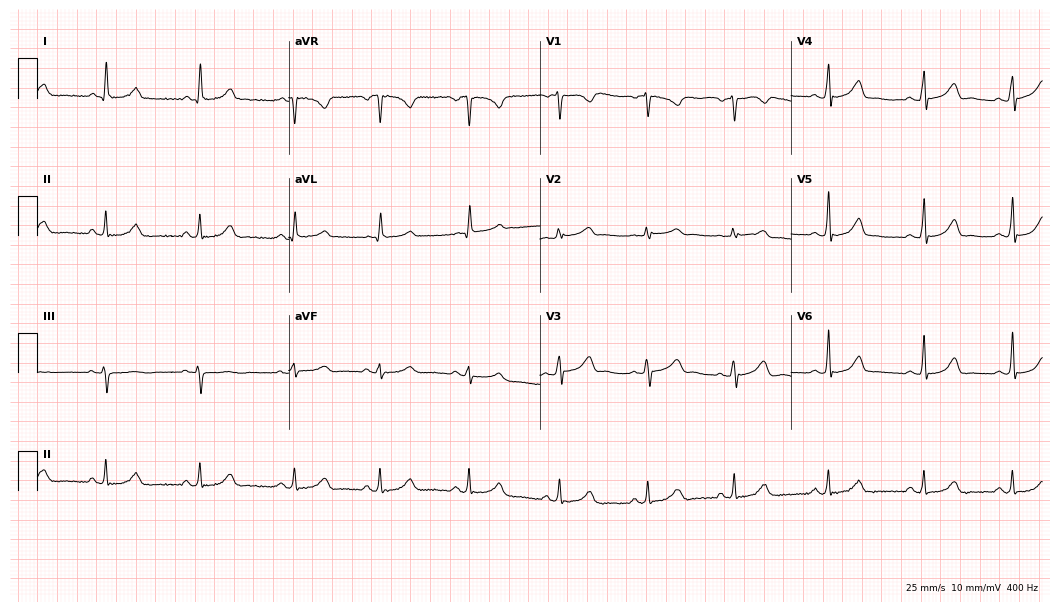
12-lead ECG from a woman, 43 years old. Recorded interpretation: within normal limits.